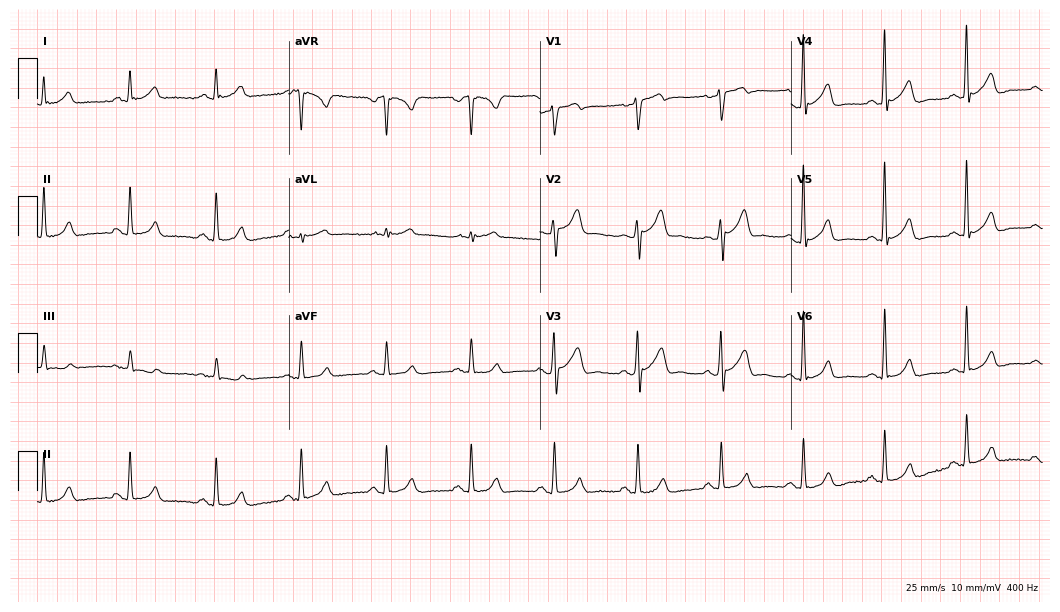
Electrocardiogram, a 51-year-old male. Overall reading on record: normal ECG.